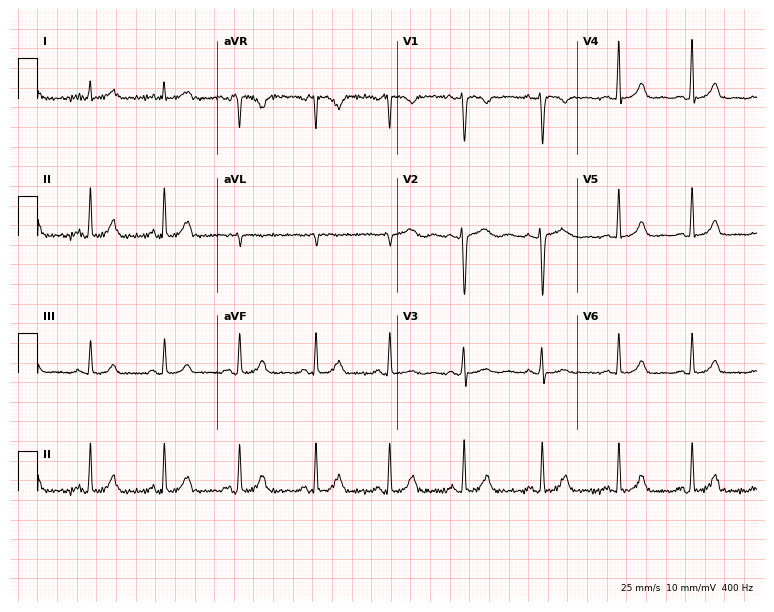
12-lead ECG from a 25-year-old female. No first-degree AV block, right bundle branch block, left bundle branch block, sinus bradycardia, atrial fibrillation or sinus tachycardia recorded for this tracing.